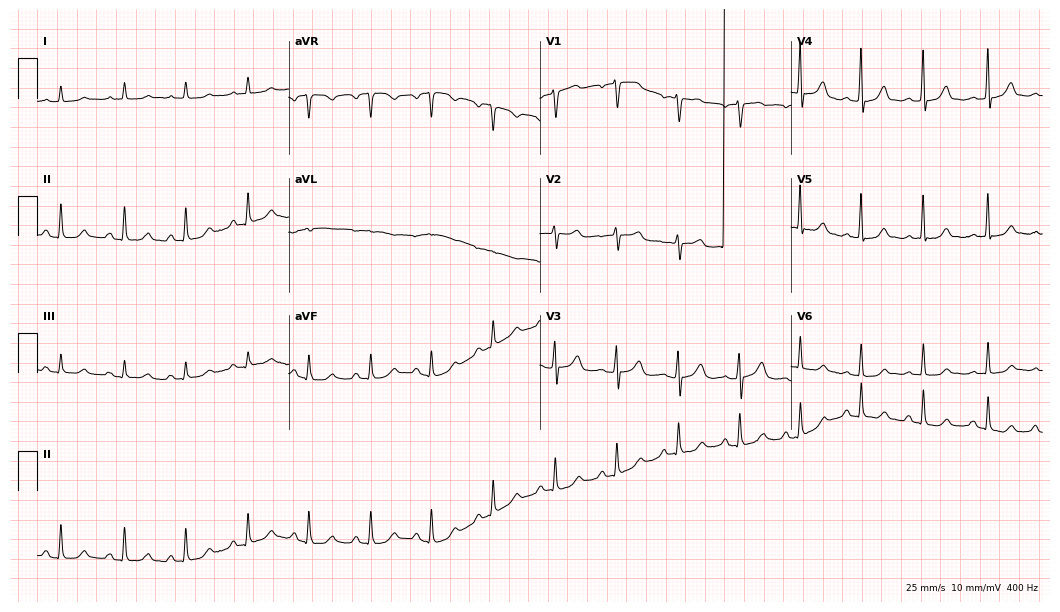
12-lead ECG from a female, 79 years old. Labelled as a normal ECG.